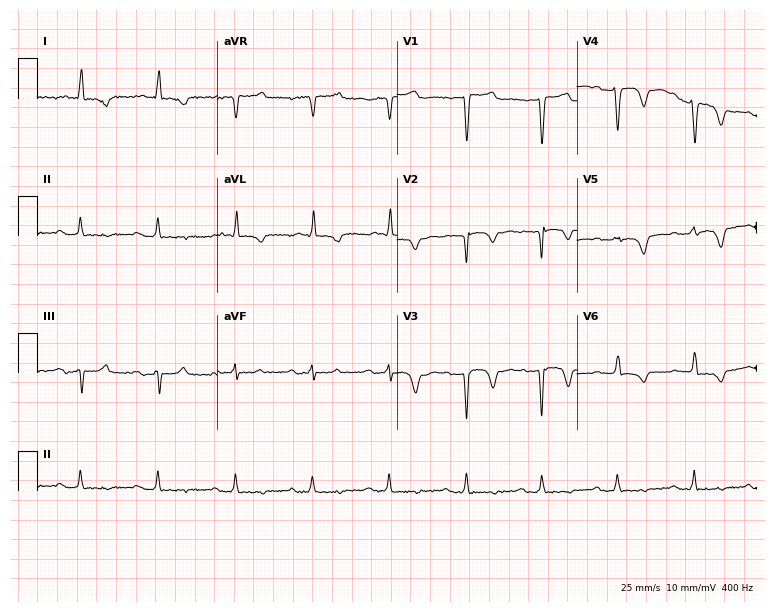
12-lead ECG from a woman, 75 years old. No first-degree AV block, right bundle branch block, left bundle branch block, sinus bradycardia, atrial fibrillation or sinus tachycardia recorded for this tracing.